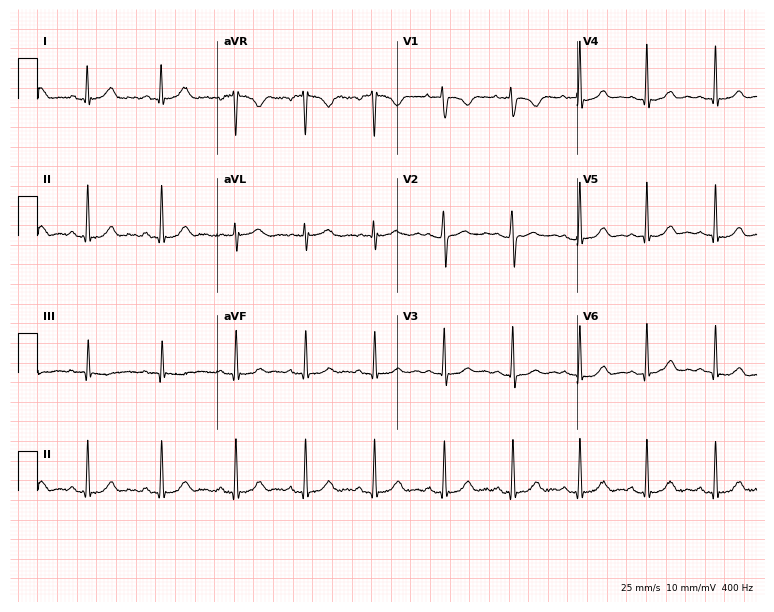
Standard 12-lead ECG recorded from a 31-year-old female patient (7.3-second recording at 400 Hz). None of these six findings is recorded: first-degree AV block, right bundle branch block (RBBB), left bundle branch block (LBBB), sinus bradycardia, atrial fibrillation (AF), sinus tachycardia. Only these six findings were labelled.